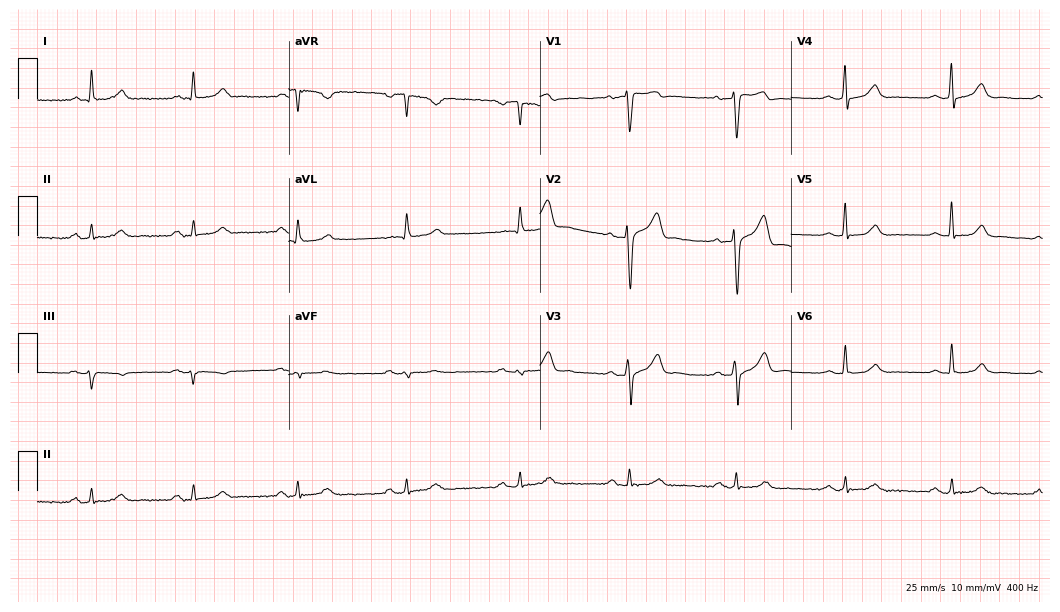
12-lead ECG (10.2-second recording at 400 Hz) from a 61-year-old man. Labelled as a normal ECG.